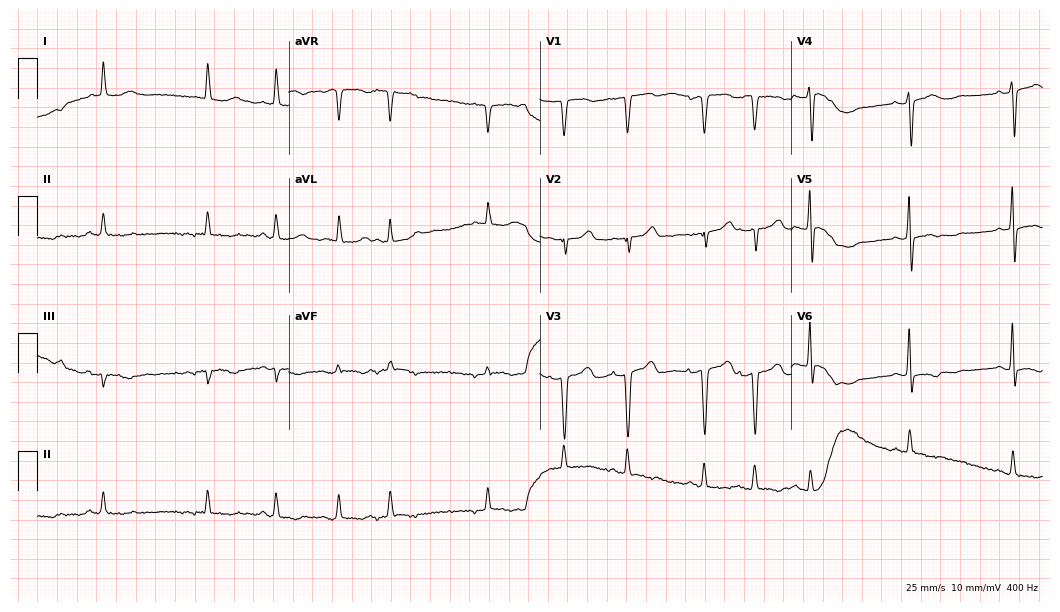
Standard 12-lead ECG recorded from a 77-year-old female (10.2-second recording at 400 Hz). None of these six findings is recorded: first-degree AV block, right bundle branch block, left bundle branch block, sinus bradycardia, atrial fibrillation, sinus tachycardia. Other findings, if any, are not listed.